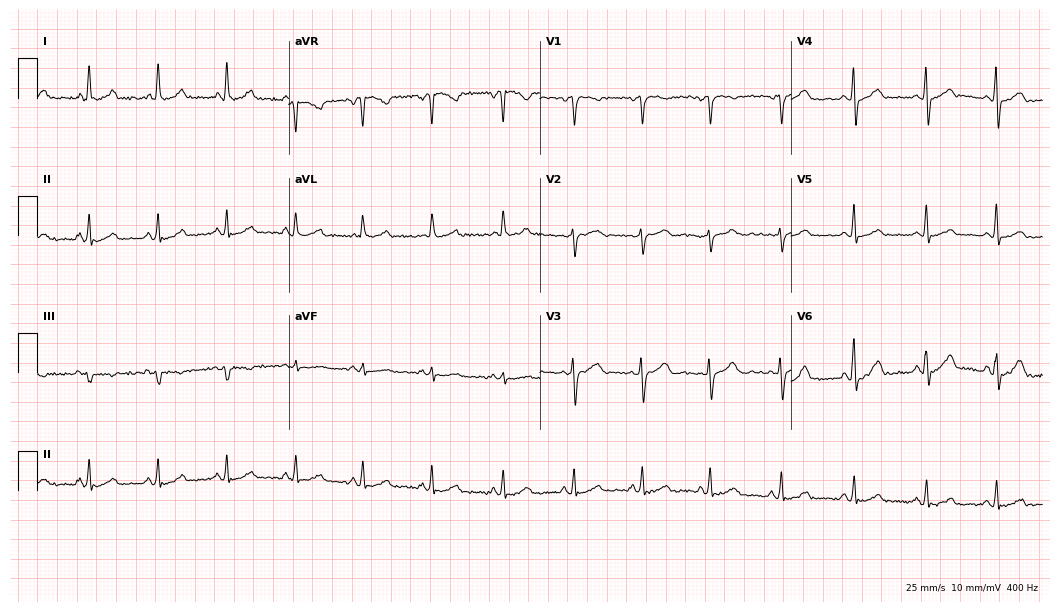
12-lead ECG from a female patient, 42 years old. Recorded interpretation: within normal limits.